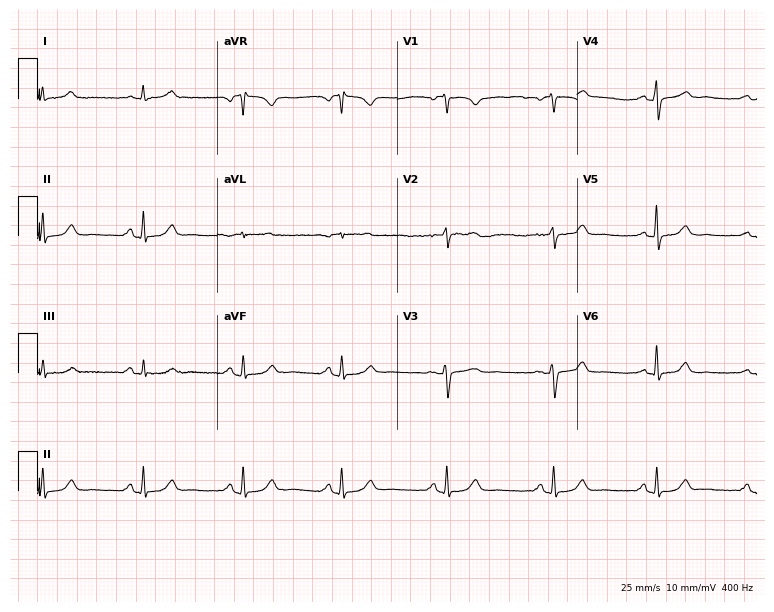
12-lead ECG from a 59-year-old female patient. Labelled as a normal ECG.